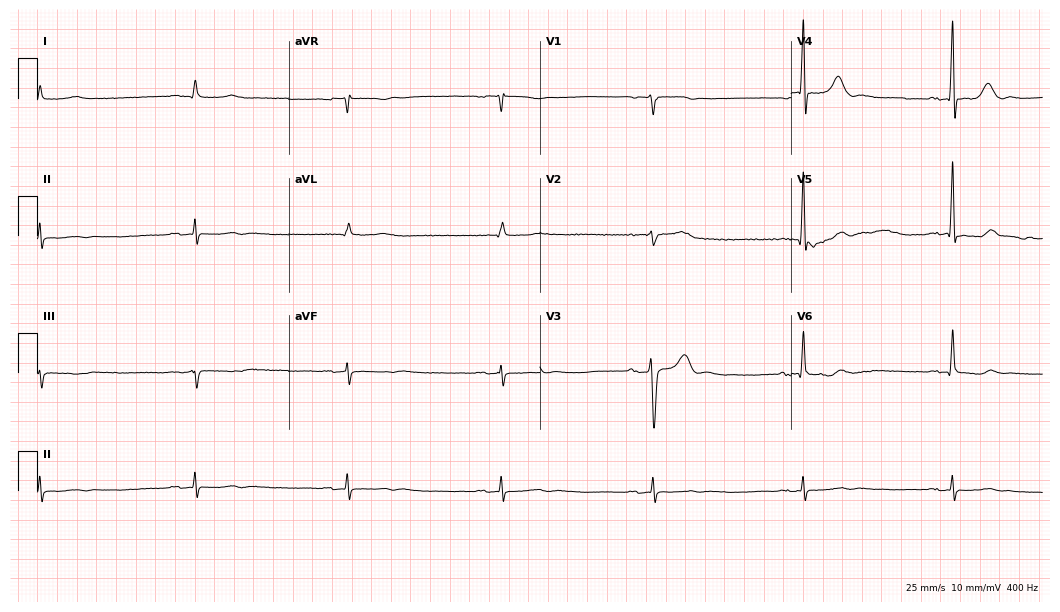
Standard 12-lead ECG recorded from a male, 75 years old (10.2-second recording at 400 Hz). None of these six findings is recorded: first-degree AV block, right bundle branch block (RBBB), left bundle branch block (LBBB), sinus bradycardia, atrial fibrillation (AF), sinus tachycardia.